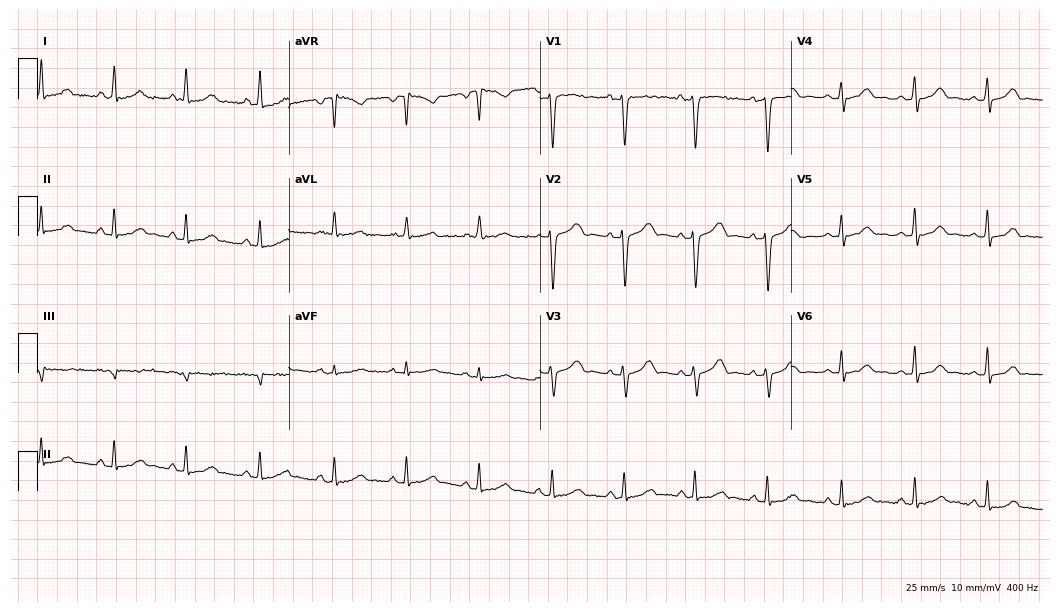
Electrocardiogram (10.2-second recording at 400 Hz), a 34-year-old female patient. Overall reading on record: normal ECG.